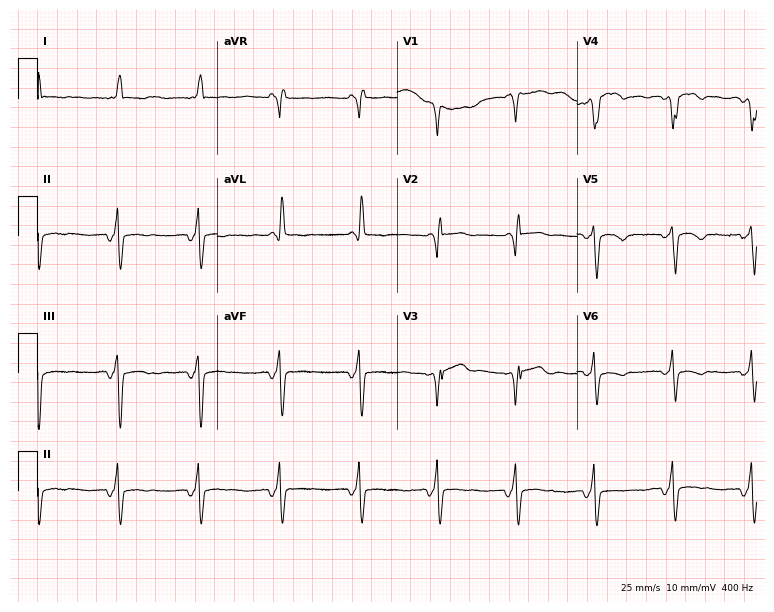
12-lead ECG (7.3-second recording at 400 Hz) from a male patient, 57 years old. Screened for six findings — first-degree AV block, right bundle branch block, left bundle branch block, sinus bradycardia, atrial fibrillation, sinus tachycardia — none is recorded.